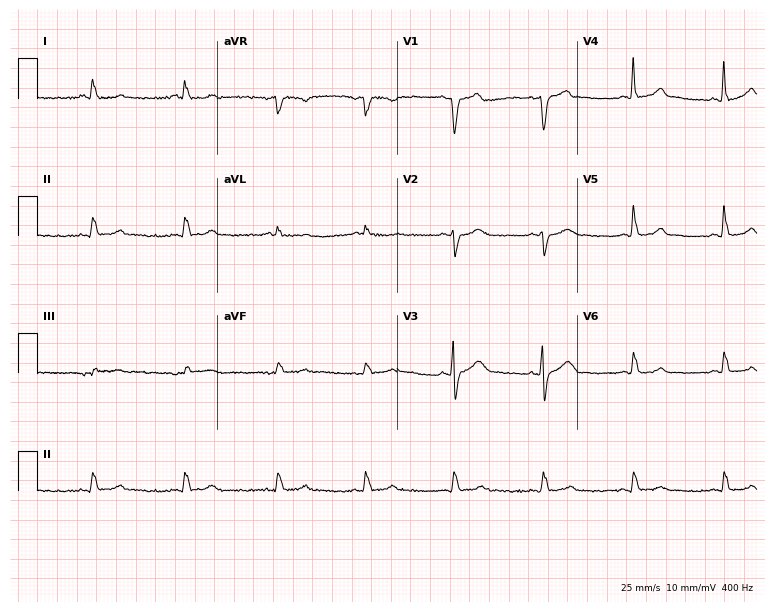
12-lead ECG from a 48-year-old male. Labelled as a normal ECG.